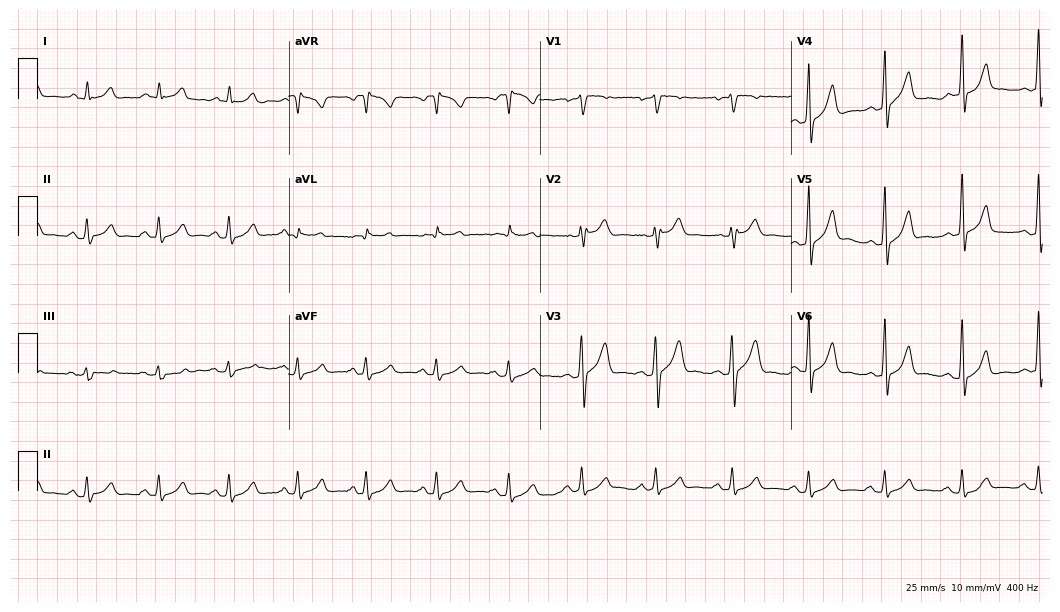
Resting 12-lead electrocardiogram. Patient: a male, 39 years old. Read as a normal ECG.